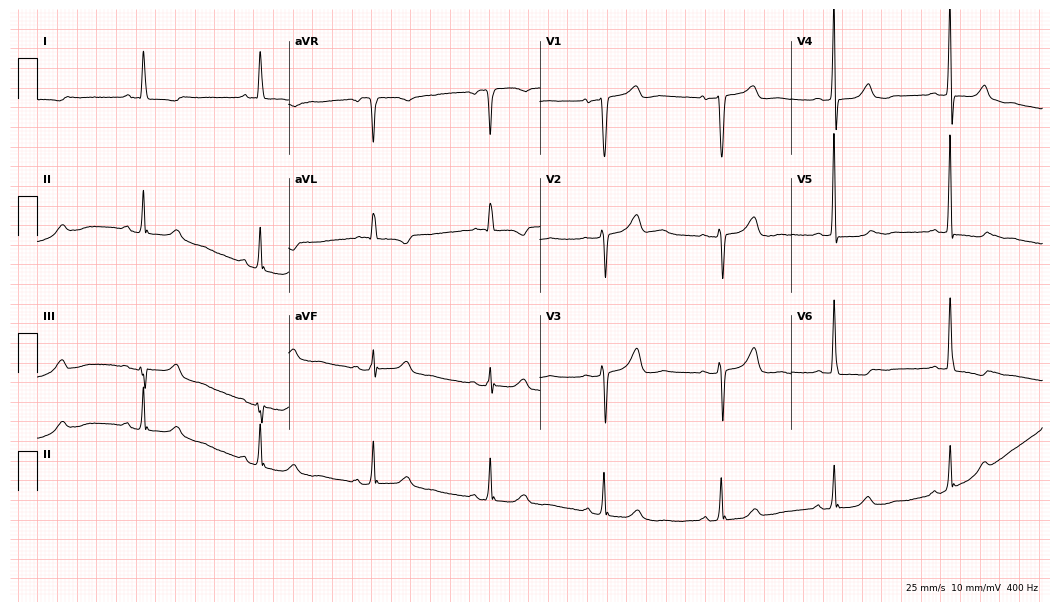
Standard 12-lead ECG recorded from a female, 75 years old (10.2-second recording at 400 Hz). None of these six findings is recorded: first-degree AV block, right bundle branch block, left bundle branch block, sinus bradycardia, atrial fibrillation, sinus tachycardia. Only these six findings were labelled.